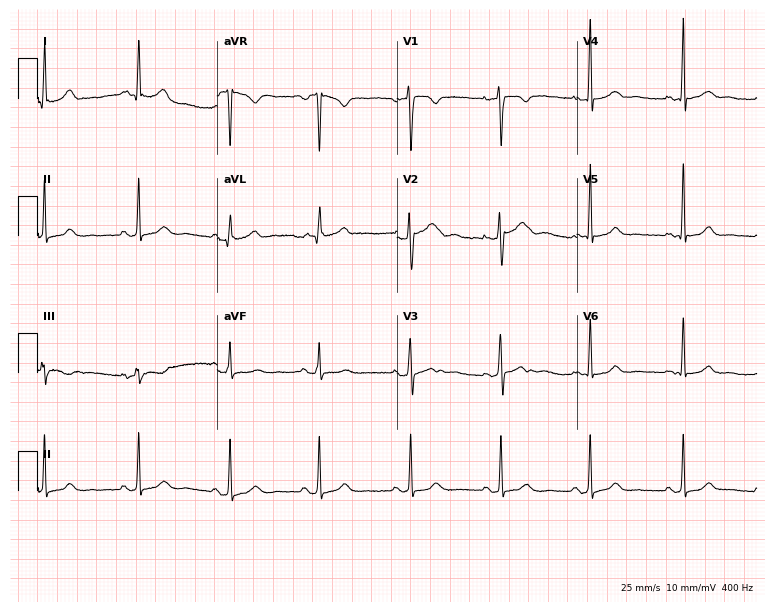
Resting 12-lead electrocardiogram (7.3-second recording at 400 Hz). Patient: a female, 33 years old. Read as a normal ECG.